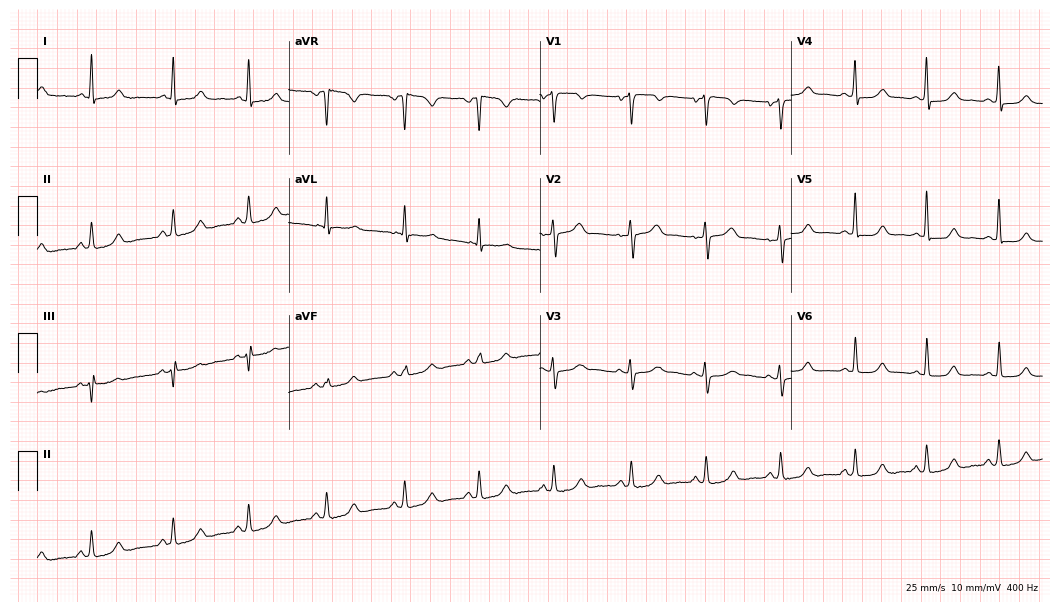
12-lead ECG from a woman, 32 years old. Recorded interpretation: within normal limits.